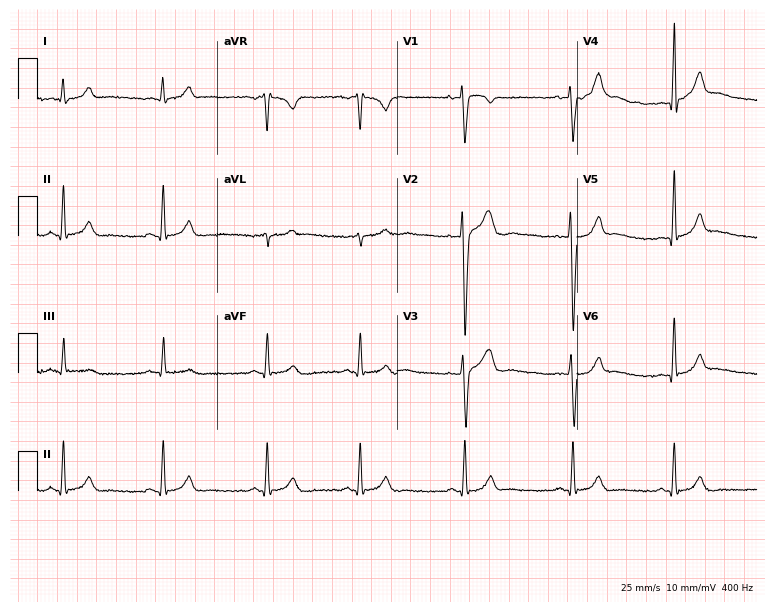
12-lead ECG from a male, 24 years old. Screened for six findings — first-degree AV block, right bundle branch block, left bundle branch block, sinus bradycardia, atrial fibrillation, sinus tachycardia — none is recorded. Findings outside these six are not listed.